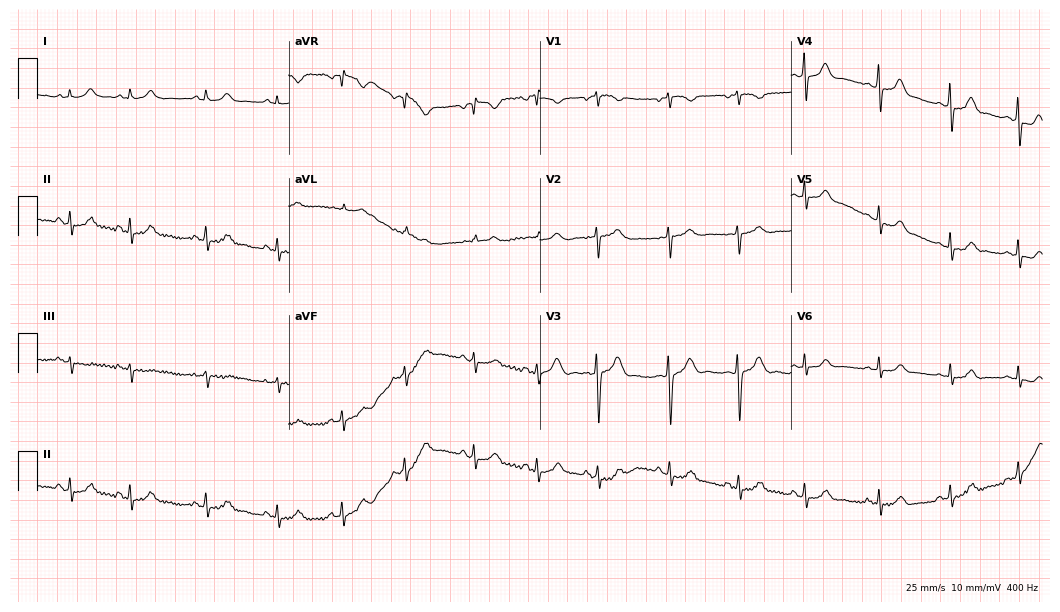
Electrocardiogram, a female, 19 years old. Overall reading on record: normal ECG.